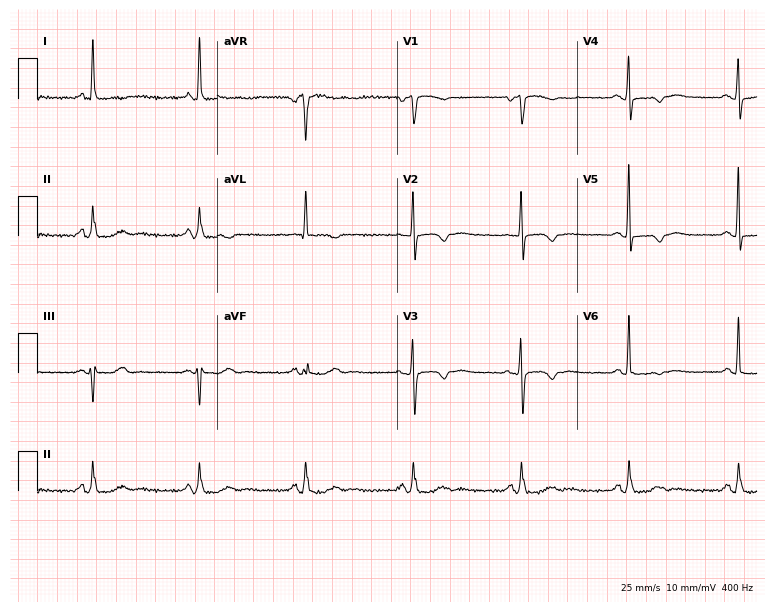
Standard 12-lead ECG recorded from a female, 76 years old. None of these six findings is recorded: first-degree AV block, right bundle branch block (RBBB), left bundle branch block (LBBB), sinus bradycardia, atrial fibrillation (AF), sinus tachycardia.